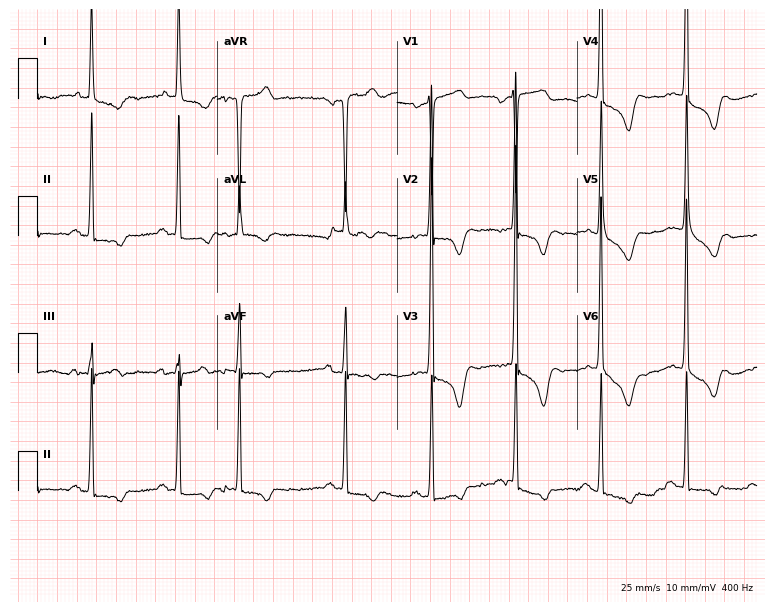
12-lead ECG from a 59-year-old female (7.3-second recording at 400 Hz). No first-degree AV block, right bundle branch block, left bundle branch block, sinus bradycardia, atrial fibrillation or sinus tachycardia recorded for this tracing.